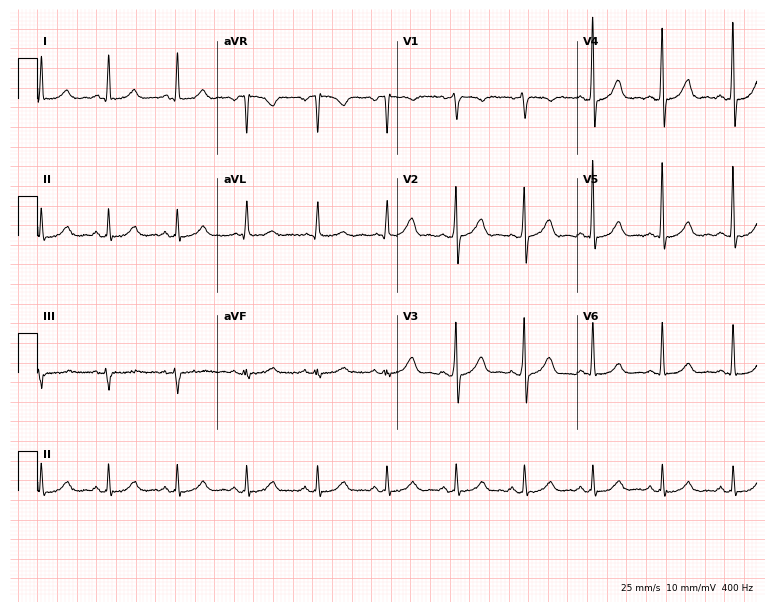
12-lead ECG (7.3-second recording at 400 Hz) from a man, 64 years old. Screened for six findings — first-degree AV block, right bundle branch block, left bundle branch block, sinus bradycardia, atrial fibrillation, sinus tachycardia — none is recorded. Findings outside these six are not listed.